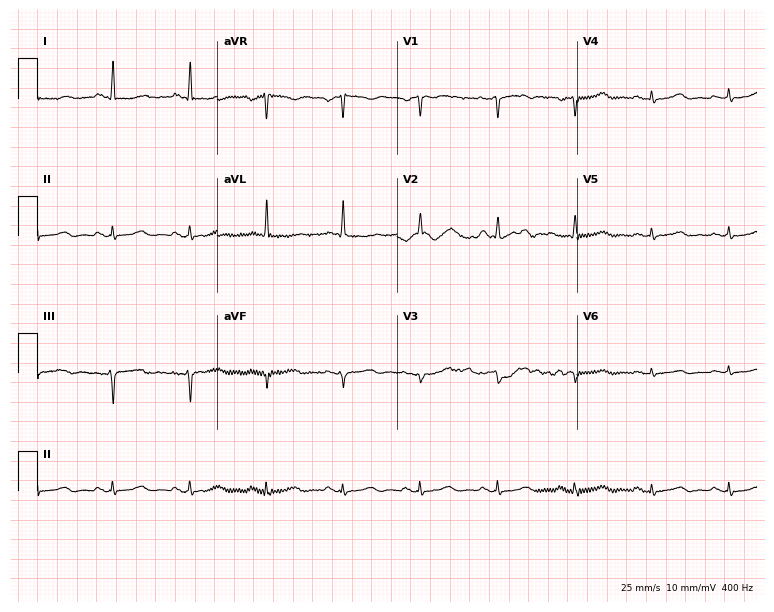
12-lead ECG (7.3-second recording at 400 Hz) from a female, 61 years old. Screened for six findings — first-degree AV block, right bundle branch block, left bundle branch block, sinus bradycardia, atrial fibrillation, sinus tachycardia — none is recorded.